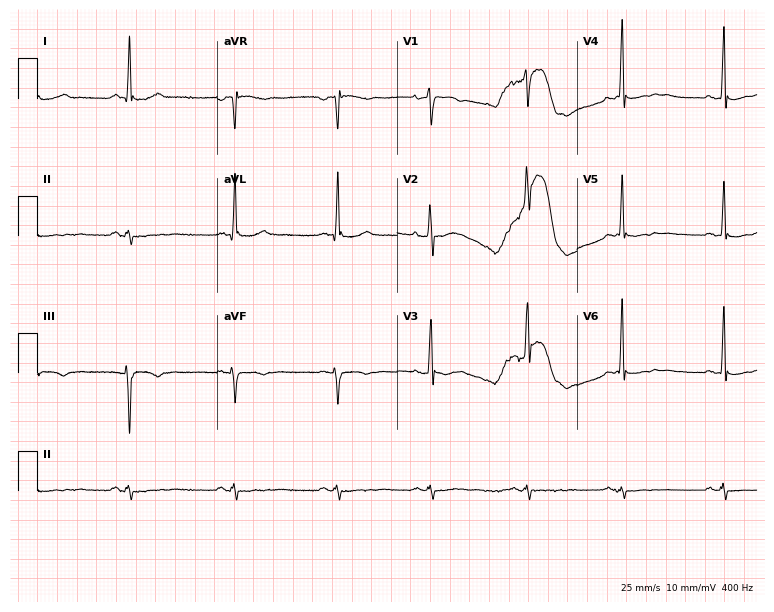
Electrocardiogram, a male patient, 45 years old. Of the six screened findings (first-degree AV block, right bundle branch block, left bundle branch block, sinus bradycardia, atrial fibrillation, sinus tachycardia), none is recorded.